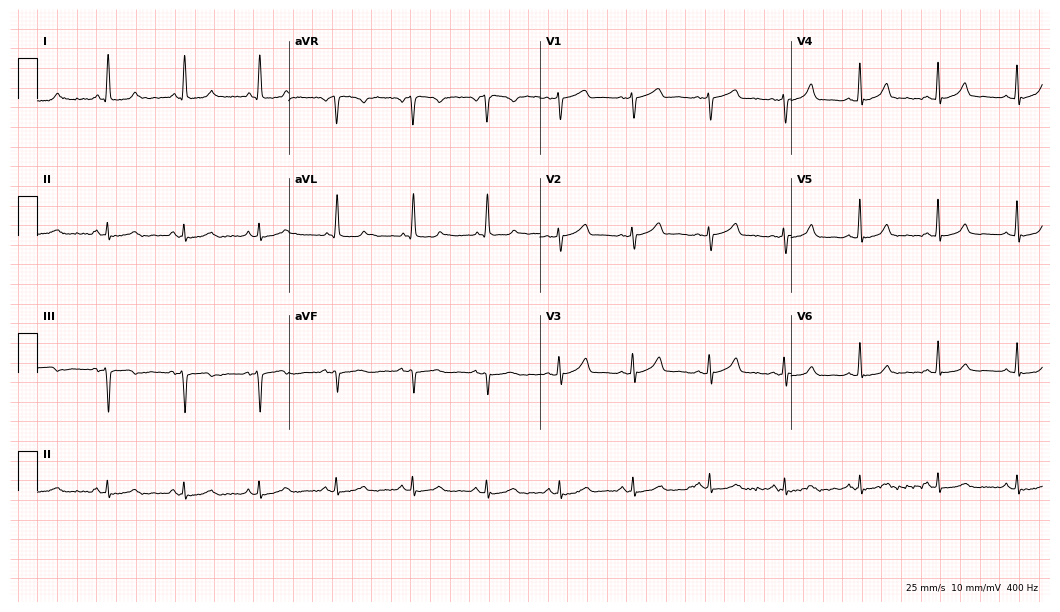
ECG — a female patient, 64 years old. Labelled as a normal ECG.